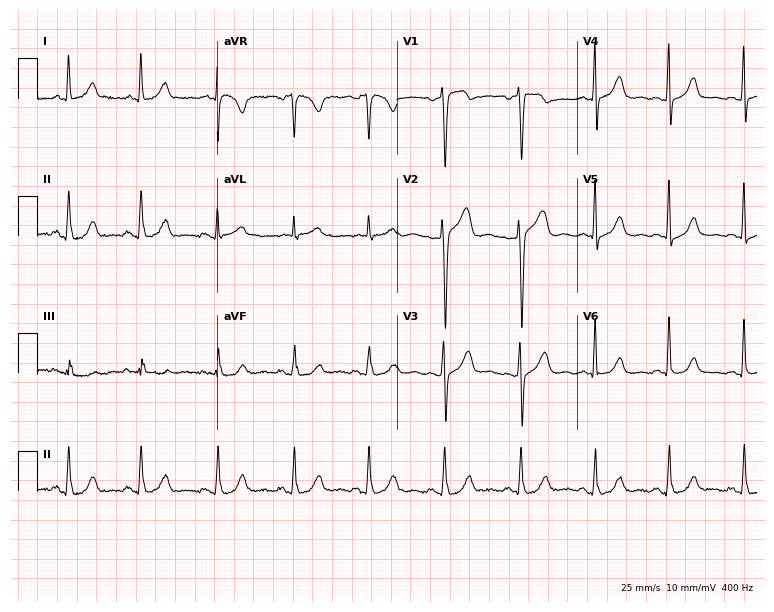
Resting 12-lead electrocardiogram. Patient: a 63-year-old female. None of these six findings is recorded: first-degree AV block, right bundle branch block, left bundle branch block, sinus bradycardia, atrial fibrillation, sinus tachycardia. Only these six findings were labelled.